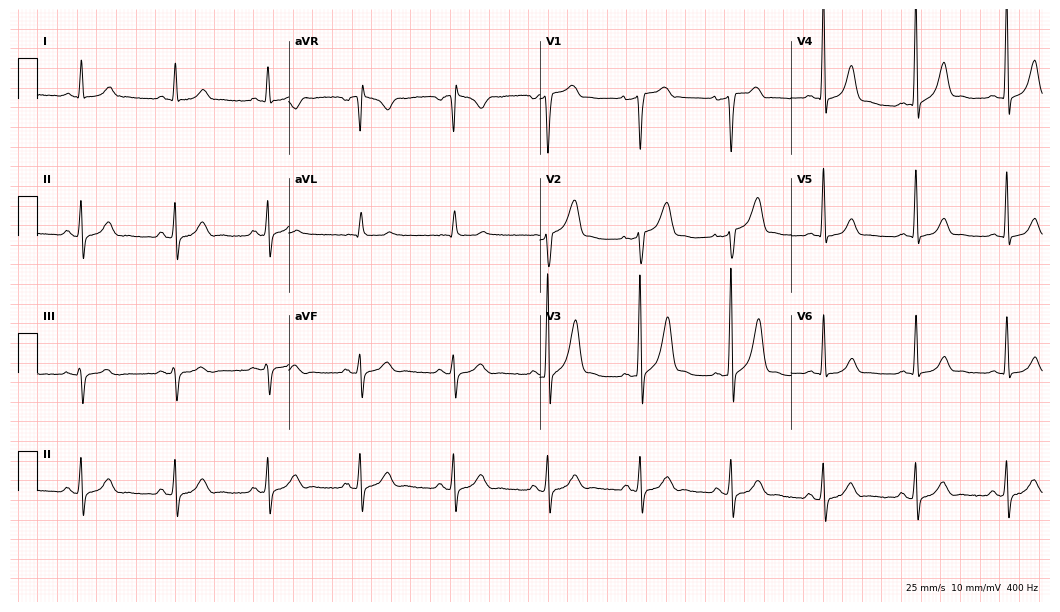
Resting 12-lead electrocardiogram (10.2-second recording at 400 Hz). Patient: a male, 65 years old. None of these six findings is recorded: first-degree AV block, right bundle branch block (RBBB), left bundle branch block (LBBB), sinus bradycardia, atrial fibrillation (AF), sinus tachycardia. Only these six findings were labelled.